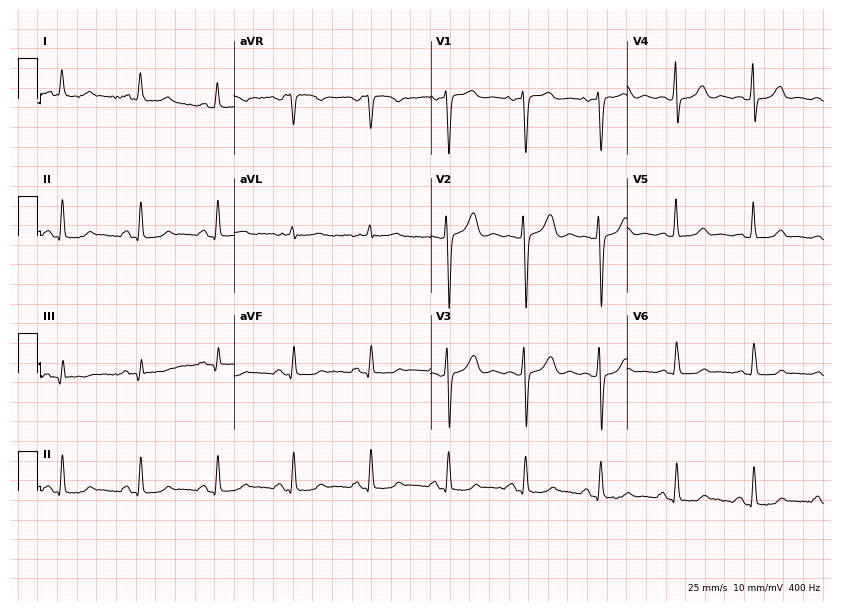
Resting 12-lead electrocardiogram (8-second recording at 400 Hz). Patient: a 67-year-old woman. None of these six findings is recorded: first-degree AV block, right bundle branch block, left bundle branch block, sinus bradycardia, atrial fibrillation, sinus tachycardia. Findings outside these six are not listed.